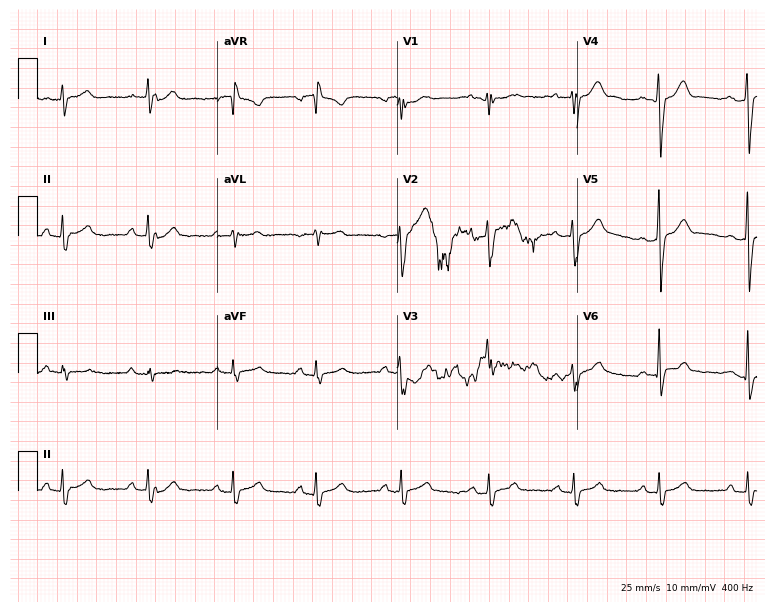
Electrocardiogram (7.3-second recording at 400 Hz), a 25-year-old male. Of the six screened findings (first-degree AV block, right bundle branch block (RBBB), left bundle branch block (LBBB), sinus bradycardia, atrial fibrillation (AF), sinus tachycardia), none is recorded. Only these six findings were labelled.